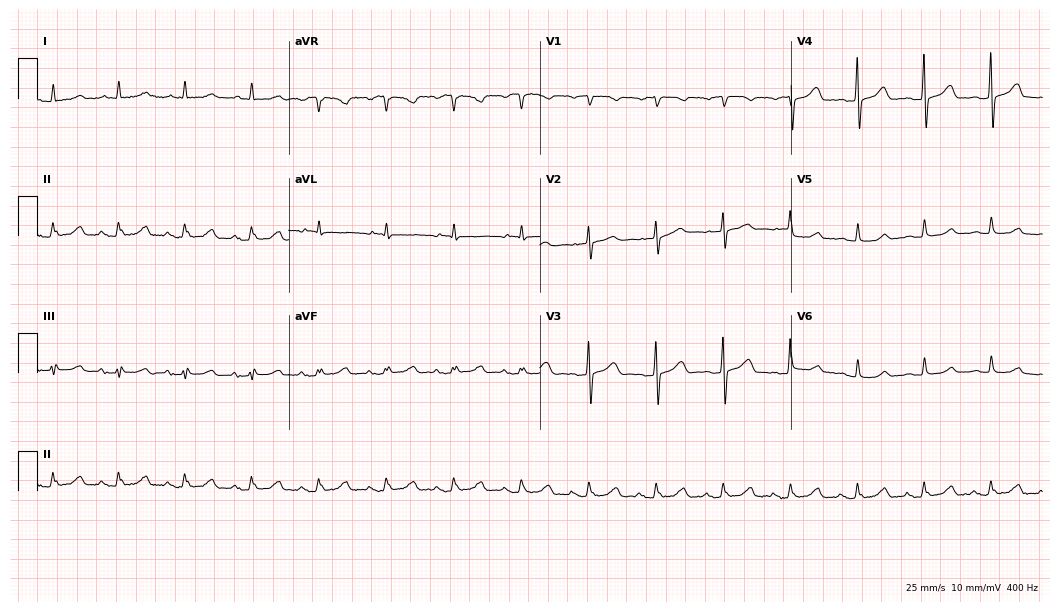
Resting 12-lead electrocardiogram (10.2-second recording at 400 Hz). Patient: an 84-year-old male. None of these six findings is recorded: first-degree AV block, right bundle branch block, left bundle branch block, sinus bradycardia, atrial fibrillation, sinus tachycardia. Only these six findings were labelled.